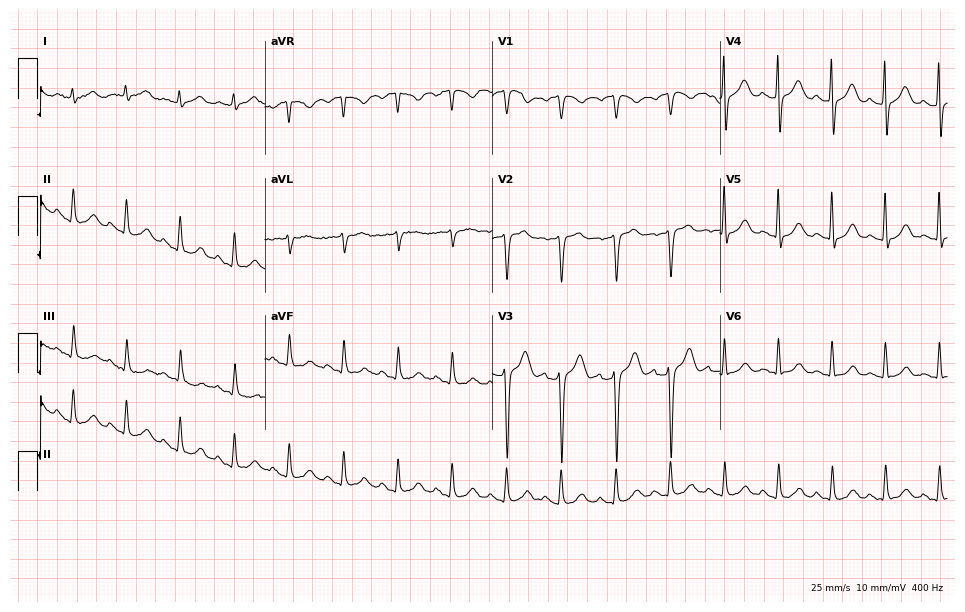
Electrocardiogram (9.3-second recording at 400 Hz), an 81-year-old male. Interpretation includes sinus tachycardia (a sinus rate of 100 beats per minute or more).